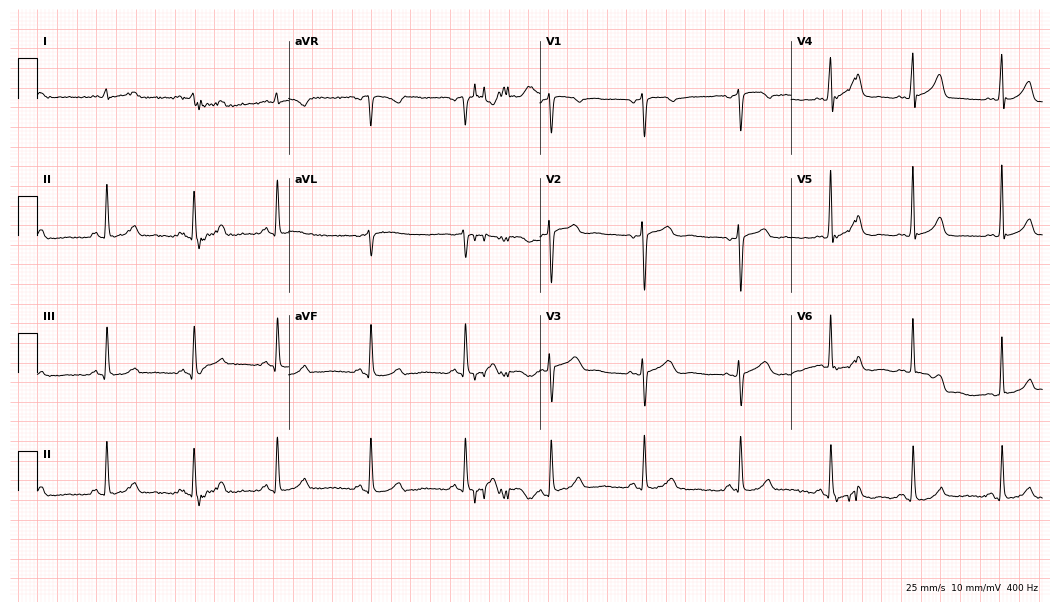
12-lead ECG from a woman, 55 years old. Labelled as a normal ECG.